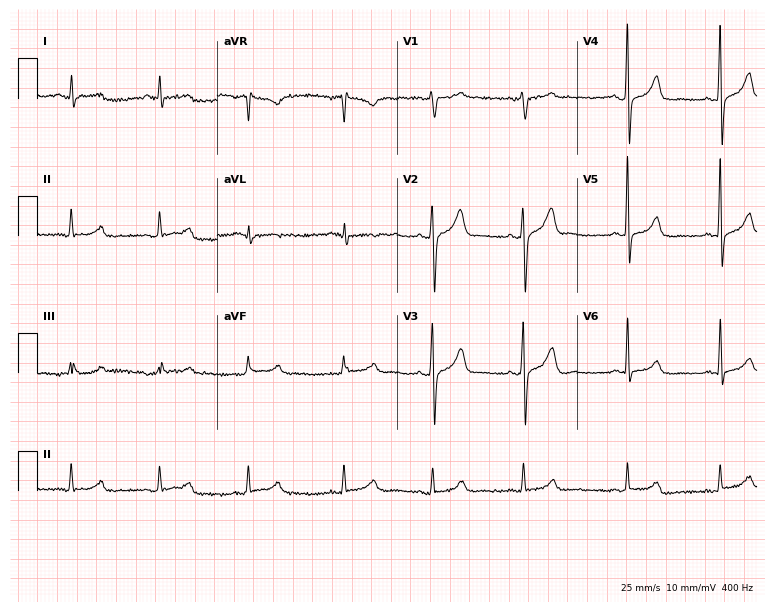
Resting 12-lead electrocardiogram. Patient: a man, 59 years old. Read as a normal ECG.